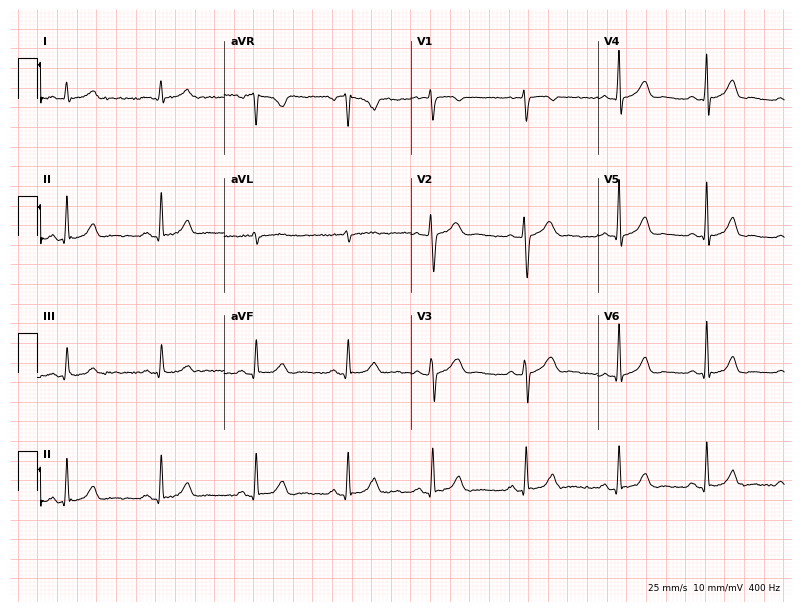
12-lead ECG from a 43-year-old female (7.6-second recording at 400 Hz). Recorded interpretation: within normal limits.